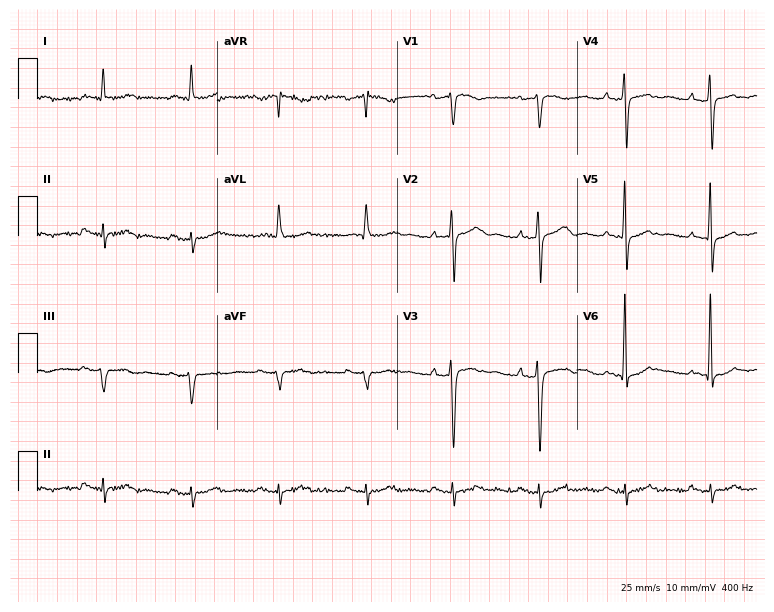
Electrocardiogram, a 72-year-old male patient. Overall reading on record: normal ECG.